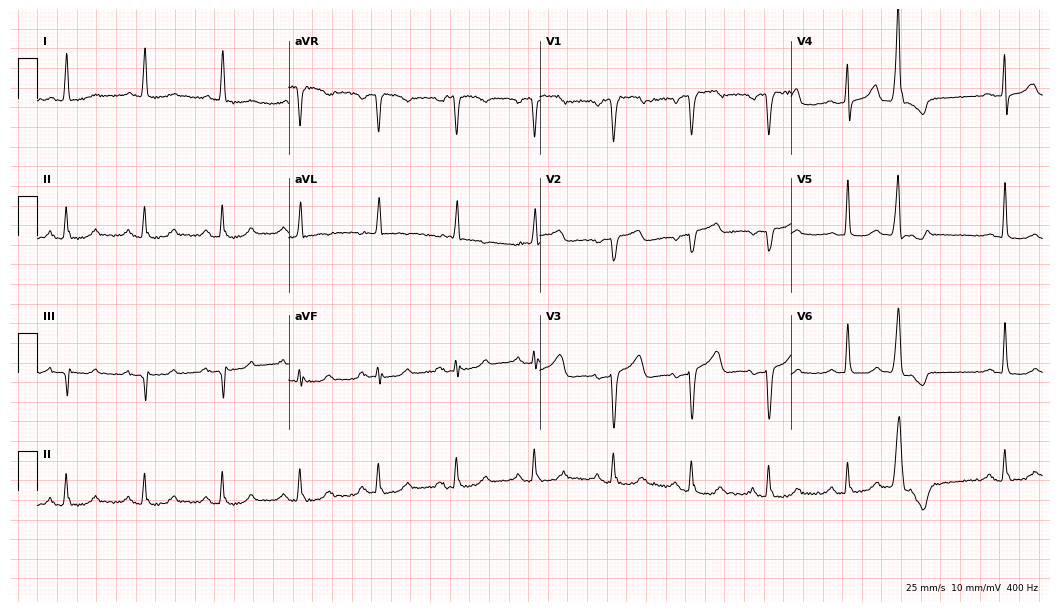
ECG (10.2-second recording at 400 Hz) — a 65-year-old female. Screened for six findings — first-degree AV block, right bundle branch block, left bundle branch block, sinus bradycardia, atrial fibrillation, sinus tachycardia — none is recorded.